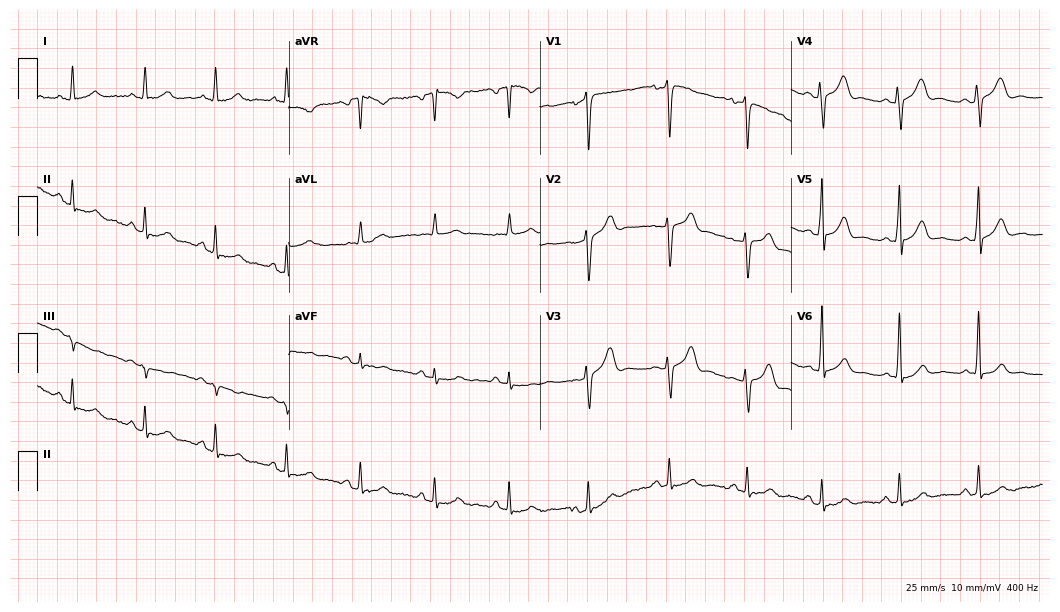
Electrocardiogram (10.2-second recording at 400 Hz), a man, 46 years old. Of the six screened findings (first-degree AV block, right bundle branch block, left bundle branch block, sinus bradycardia, atrial fibrillation, sinus tachycardia), none is recorded.